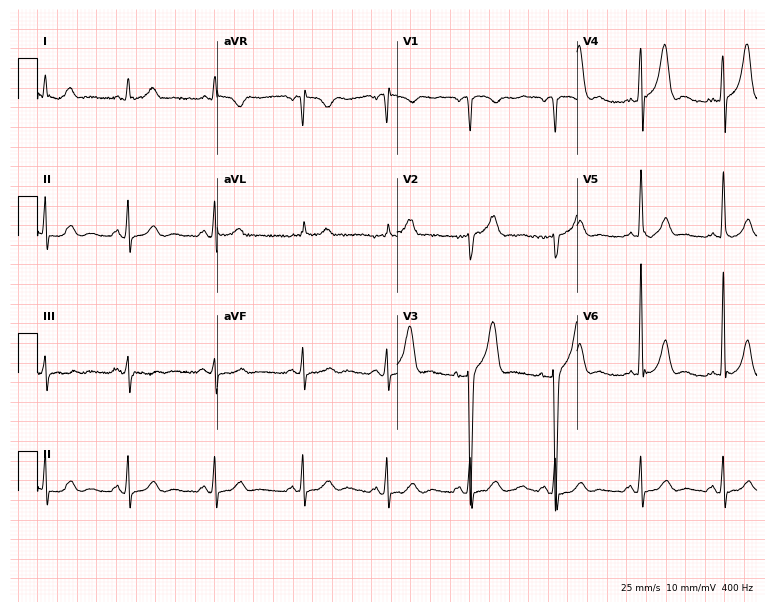
12-lead ECG from a 53-year-old man. Recorded interpretation: within normal limits.